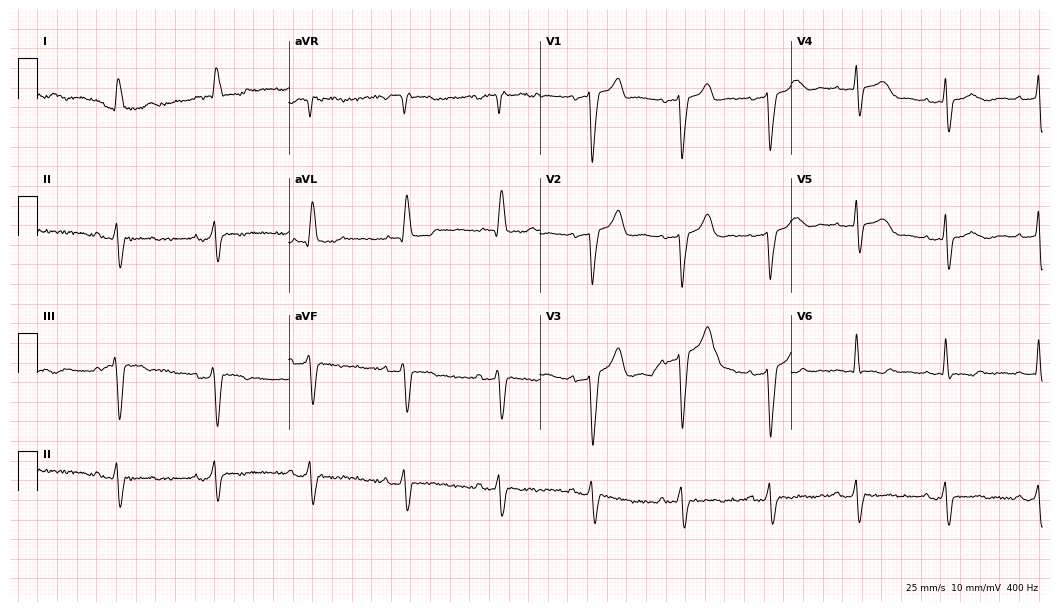
12-lead ECG (10.2-second recording at 400 Hz) from a woman, 84 years old. Findings include left bundle branch block (LBBB).